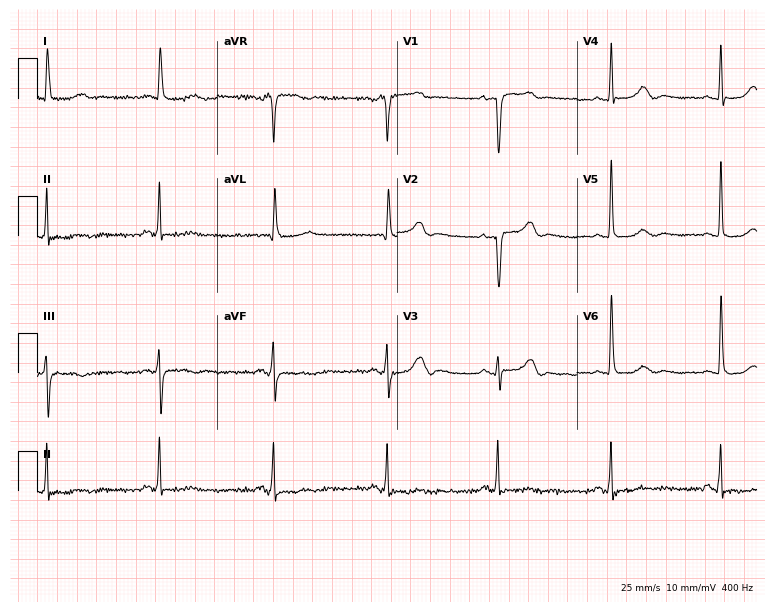
Electrocardiogram (7.3-second recording at 400 Hz), a female patient, 77 years old. Of the six screened findings (first-degree AV block, right bundle branch block, left bundle branch block, sinus bradycardia, atrial fibrillation, sinus tachycardia), none is recorded.